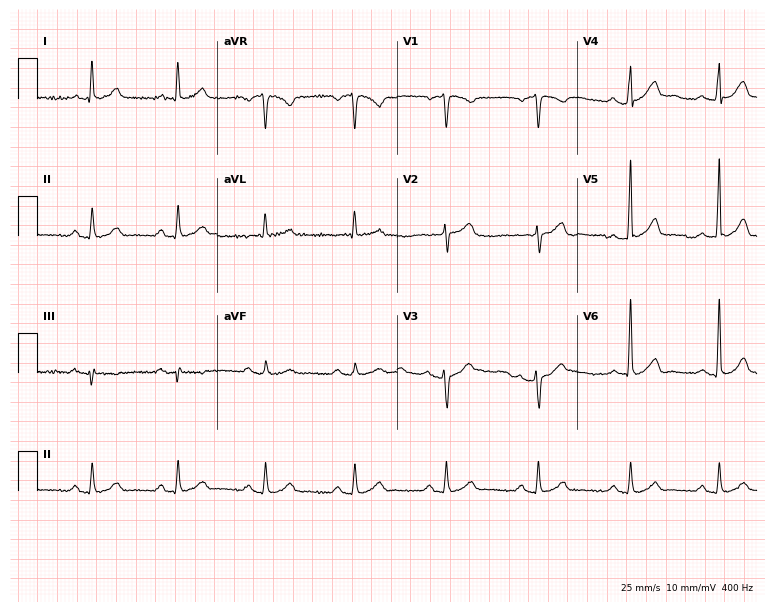
12-lead ECG from a 46-year-old man. Labelled as a normal ECG.